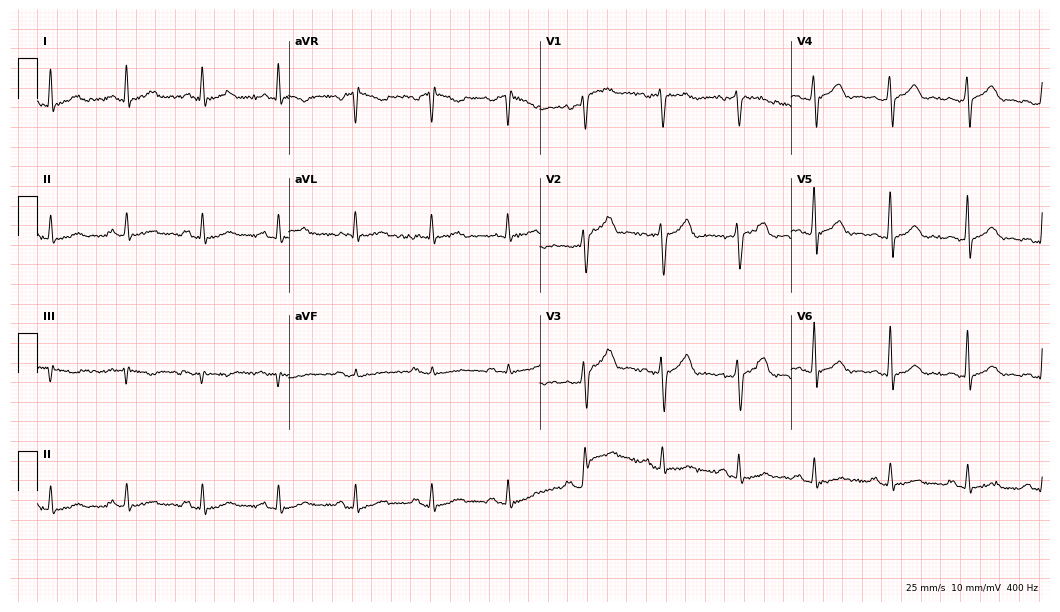
ECG — a female, 45 years old. Screened for six findings — first-degree AV block, right bundle branch block (RBBB), left bundle branch block (LBBB), sinus bradycardia, atrial fibrillation (AF), sinus tachycardia — none is recorded.